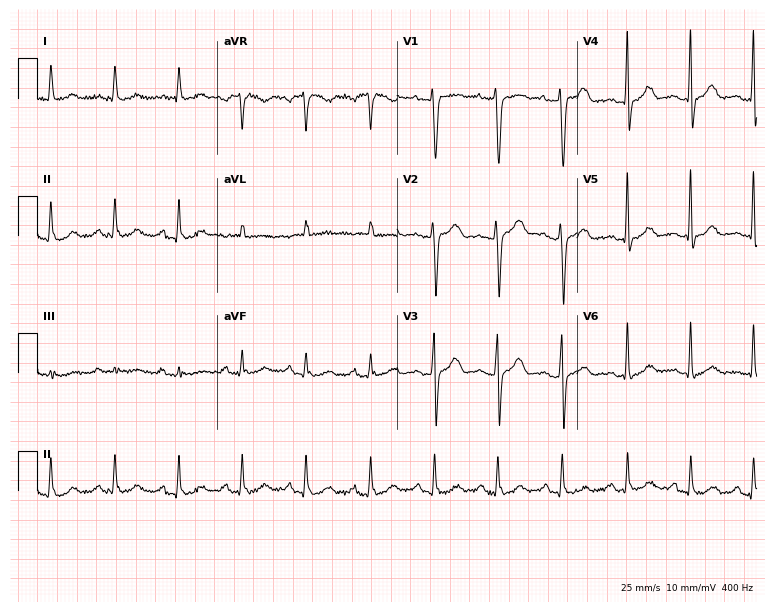
Electrocardiogram (7.3-second recording at 400 Hz), a female patient, 32 years old. Of the six screened findings (first-degree AV block, right bundle branch block (RBBB), left bundle branch block (LBBB), sinus bradycardia, atrial fibrillation (AF), sinus tachycardia), none is recorded. Findings outside these six are not listed.